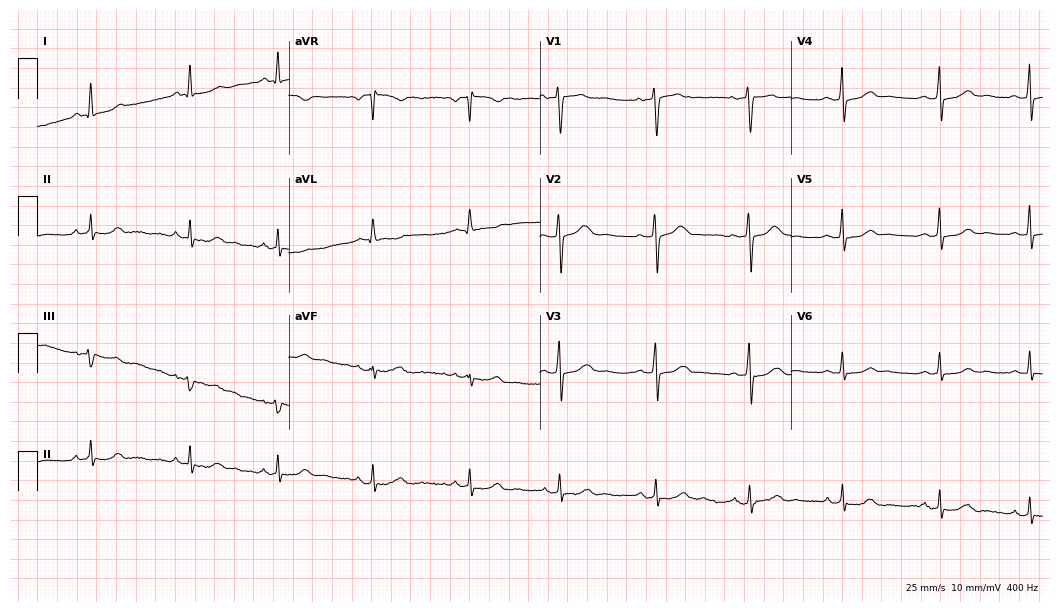
12-lead ECG (10.2-second recording at 400 Hz) from a 55-year-old female patient. Screened for six findings — first-degree AV block, right bundle branch block, left bundle branch block, sinus bradycardia, atrial fibrillation, sinus tachycardia — none is recorded. Other findings, if any, are not listed.